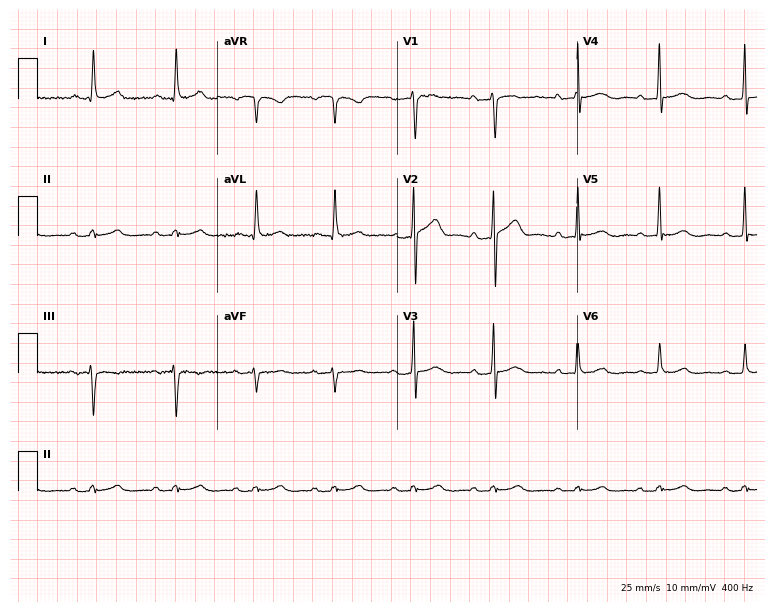
Standard 12-lead ECG recorded from a male, 75 years old. Read as a normal ECG.